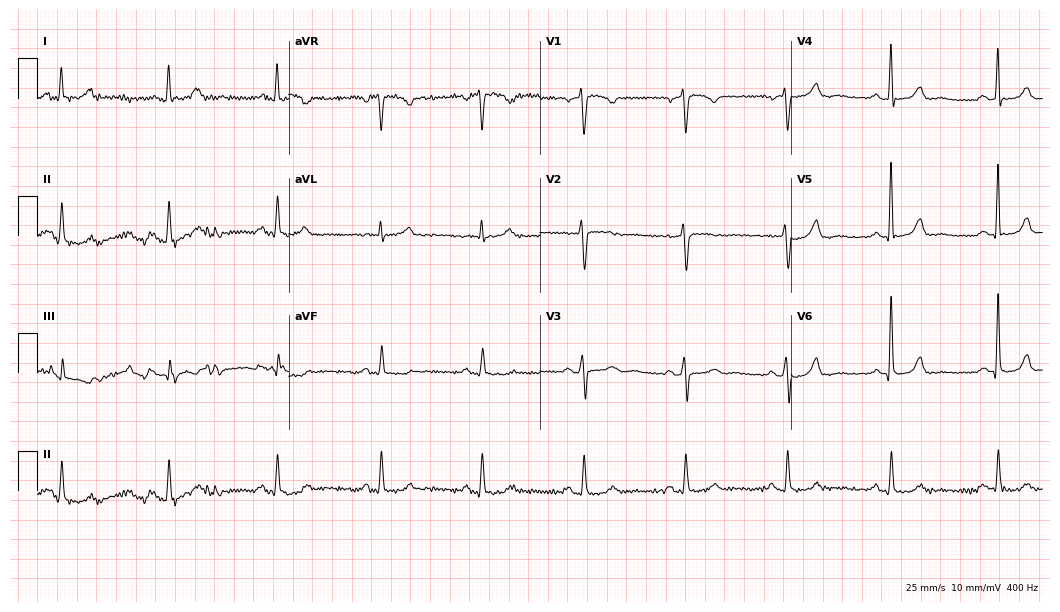
Electrocardiogram, a 46-year-old female. Of the six screened findings (first-degree AV block, right bundle branch block (RBBB), left bundle branch block (LBBB), sinus bradycardia, atrial fibrillation (AF), sinus tachycardia), none is recorded. Findings outside these six are not listed.